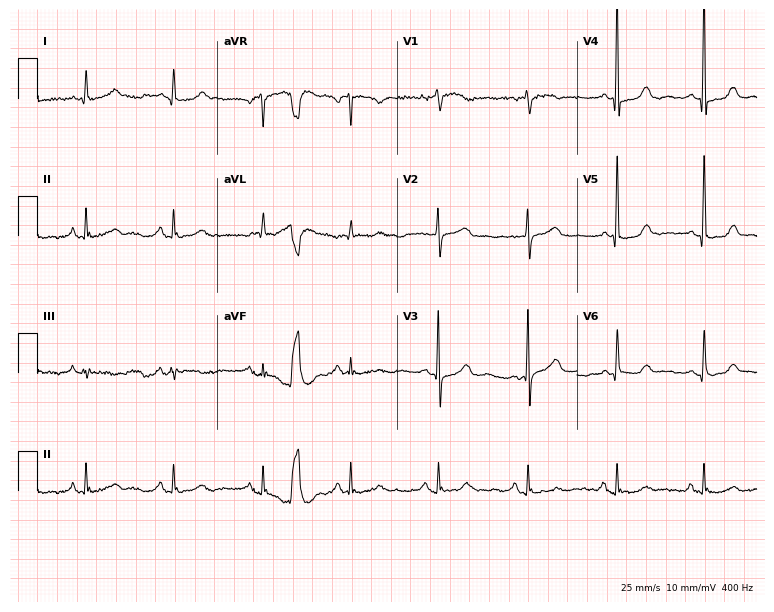
Resting 12-lead electrocardiogram (7.3-second recording at 400 Hz). Patient: a woman, 74 years old. None of these six findings is recorded: first-degree AV block, right bundle branch block, left bundle branch block, sinus bradycardia, atrial fibrillation, sinus tachycardia.